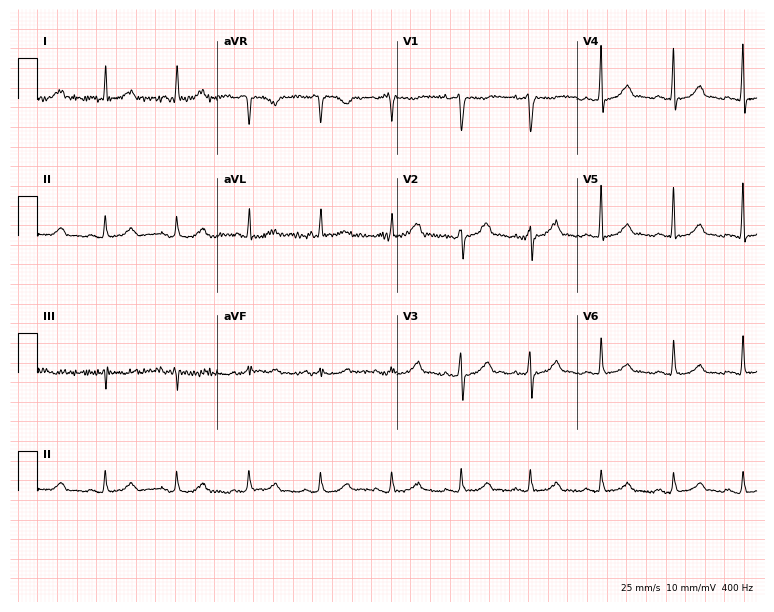
ECG — a female patient, 51 years old. Labelled as a normal ECG.